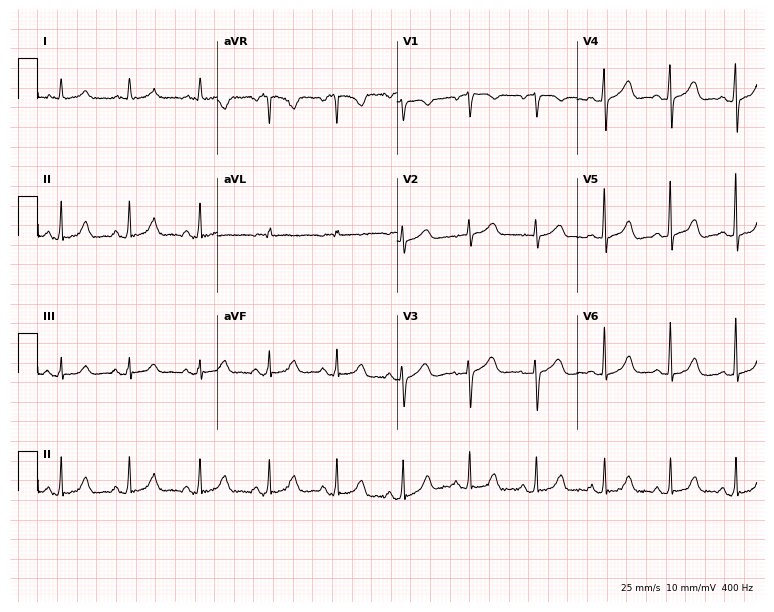
Resting 12-lead electrocardiogram. Patient: a woman, 81 years old. Read as a normal ECG.